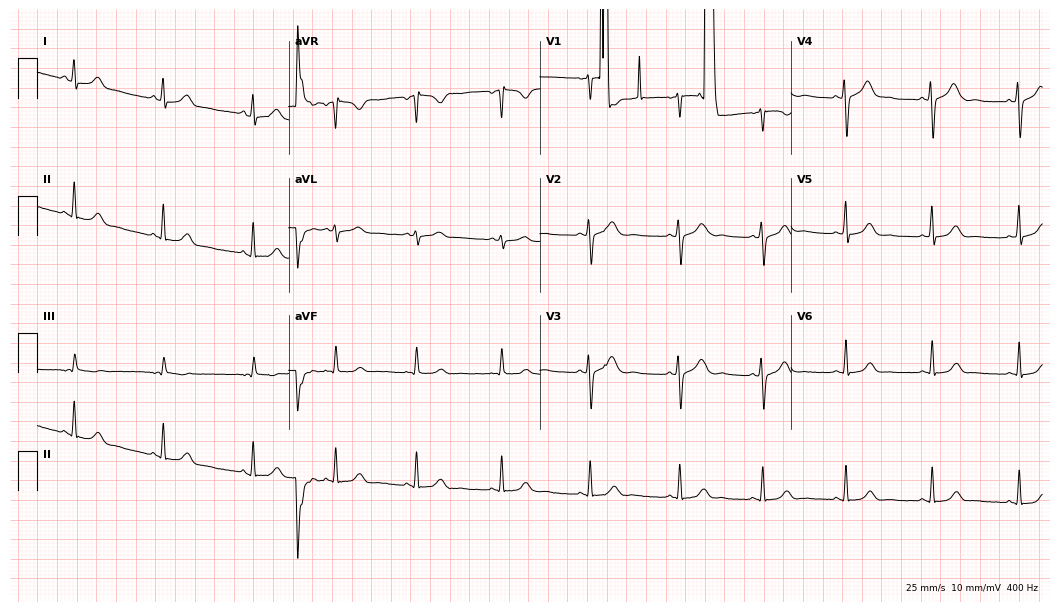
Resting 12-lead electrocardiogram. Patient: a female, 20 years old. Read as a normal ECG.